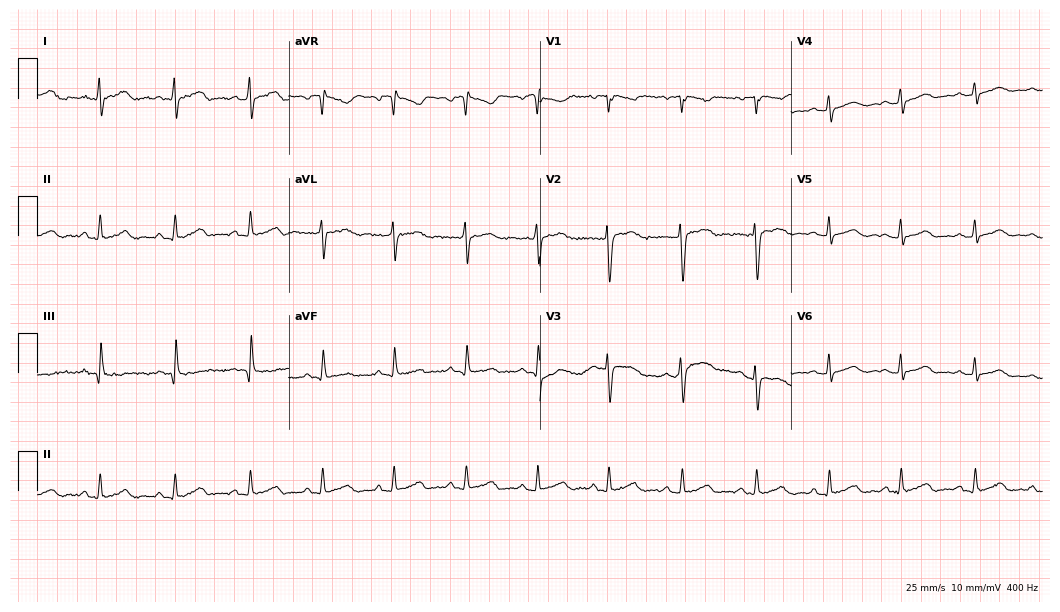
12-lead ECG from a 31-year-old female. Labelled as a normal ECG.